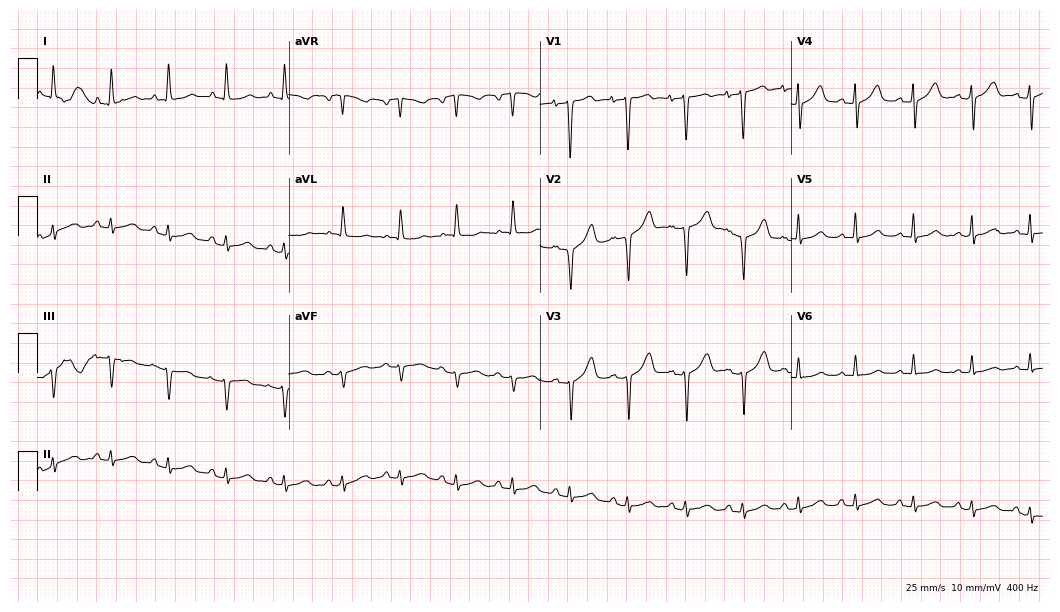
Standard 12-lead ECG recorded from a 68-year-old female patient (10.2-second recording at 400 Hz). The tracing shows sinus tachycardia (a sinus rate of 100 beats per minute or more).